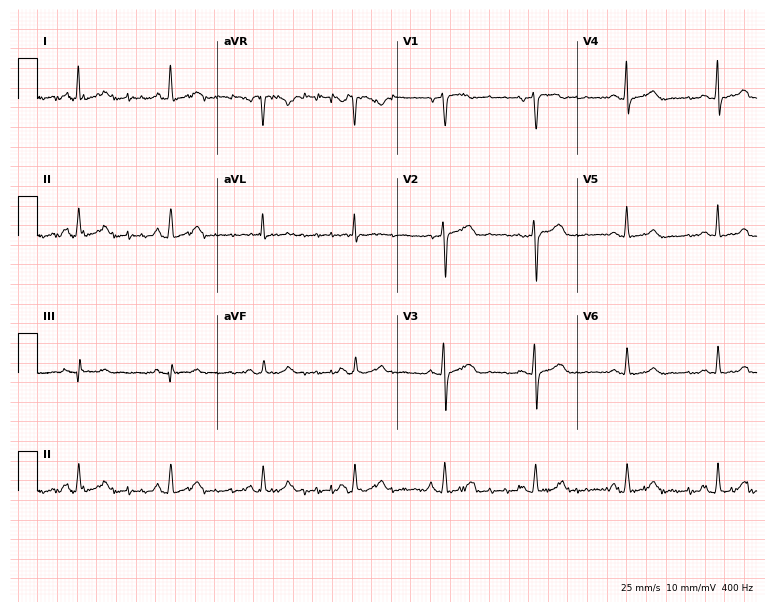
ECG — a woman, 56 years old. Screened for six findings — first-degree AV block, right bundle branch block, left bundle branch block, sinus bradycardia, atrial fibrillation, sinus tachycardia — none is recorded.